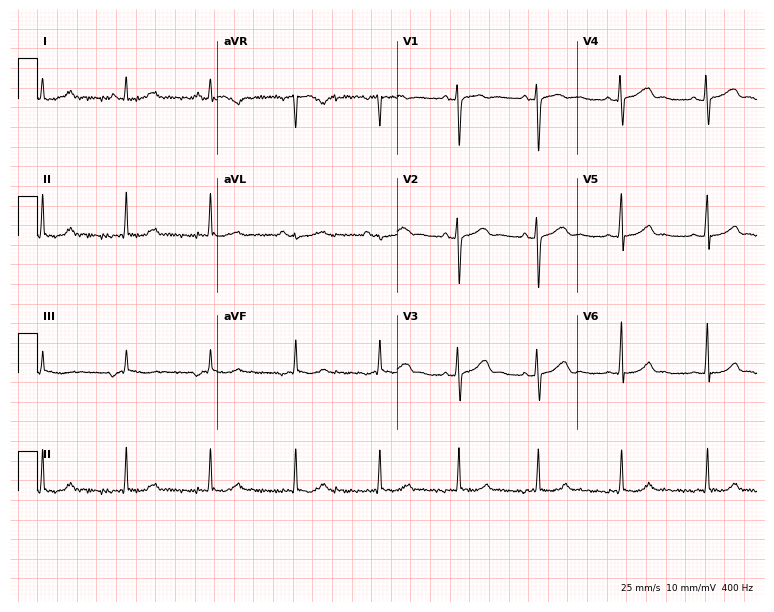
Standard 12-lead ECG recorded from a female patient, 18 years old. Read as a normal ECG.